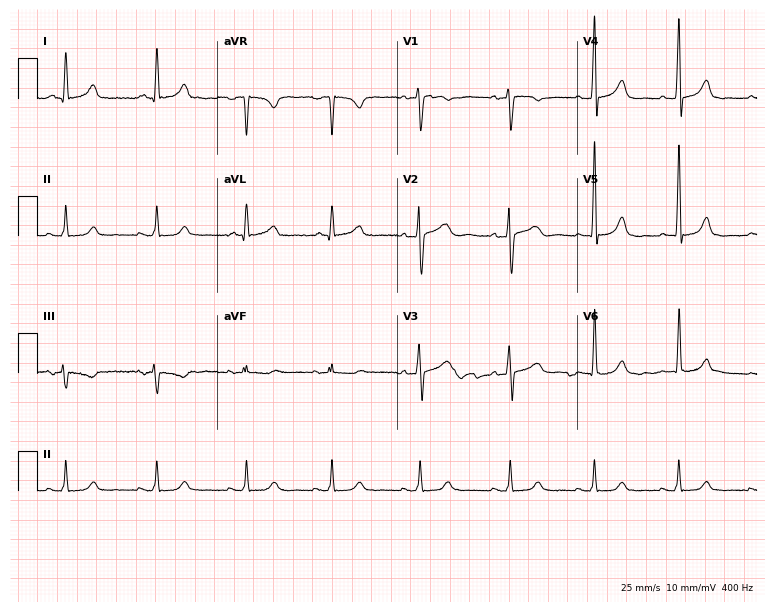
Resting 12-lead electrocardiogram. Patient: a 66-year-old female. Read as a normal ECG.